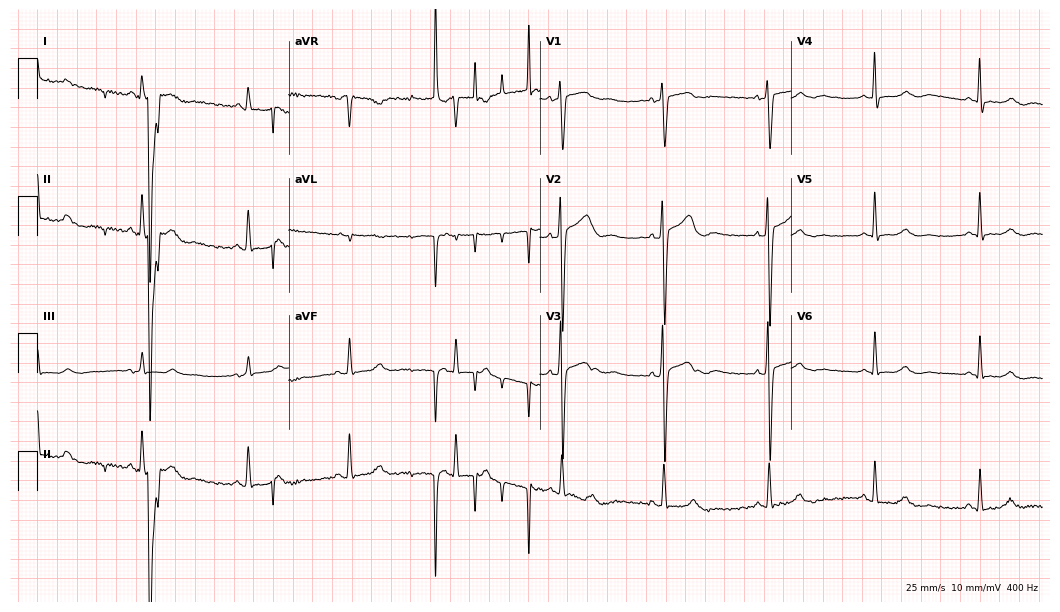
12-lead ECG (10.2-second recording at 400 Hz) from a female patient, 60 years old. Screened for six findings — first-degree AV block, right bundle branch block (RBBB), left bundle branch block (LBBB), sinus bradycardia, atrial fibrillation (AF), sinus tachycardia — none is recorded.